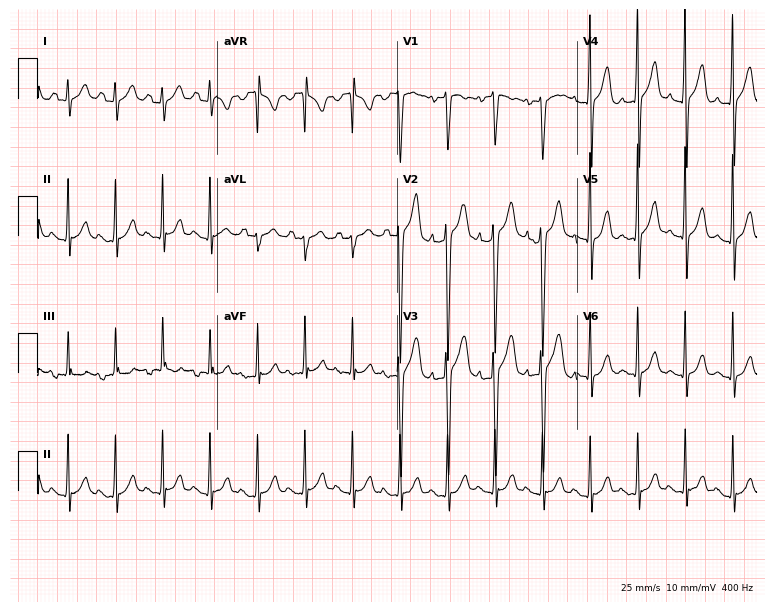
12-lead ECG from a male, 28 years old. No first-degree AV block, right bundle branch block, left bundle branch block, sinus bradycardia, atrial fibrillation or sinus tachycardia recorded for this tracing. Other findings, if any, are not listed.